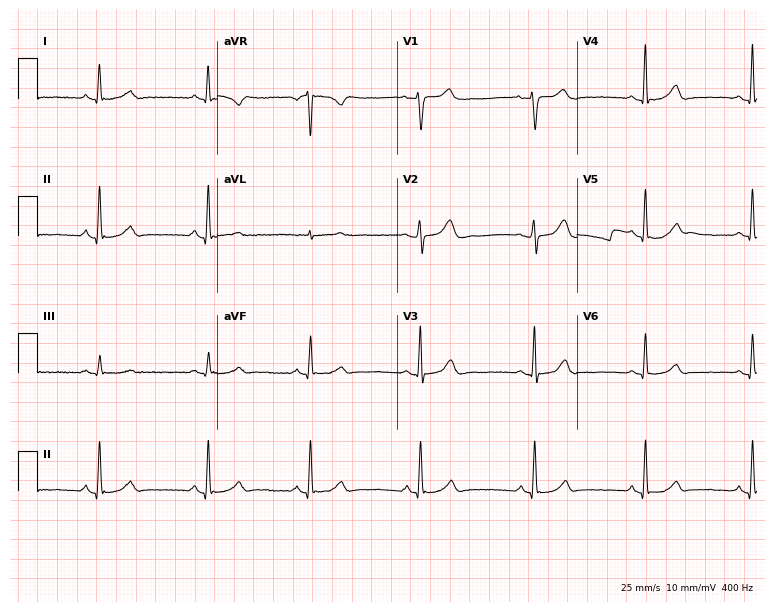
ECG (7.3-second recording at 400 Hz) — a 50-year-old female patient. Labelled as a normal ECG.